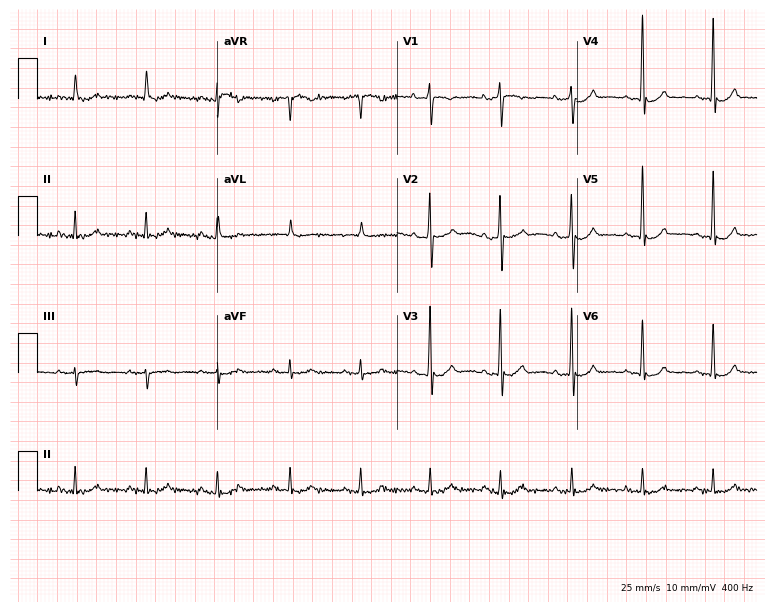
12-lead ECG from a 78-year-old male patient. No first-degree AV block, right bundle branch block, left bundle branch block, sinus bradycardia, atrial fibrillation or sinus tachycardia recorded for this tracing. Findings outside these six are not listed.